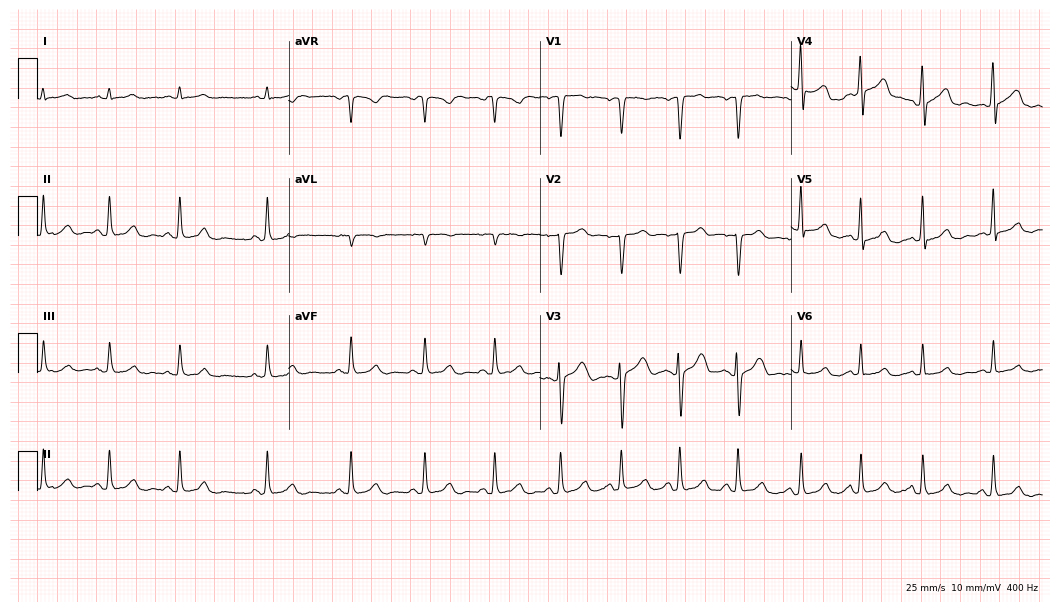
ECG — a woman, 35 years old. Screened for six findings — first-degree AV block, right bundle branch block (RBBB), left bundle branch block (LBBB), sinus bradycardia, atrial fibrillation (AF), sinus tachycardia — none is recorded. Findings outside these six are not listed.